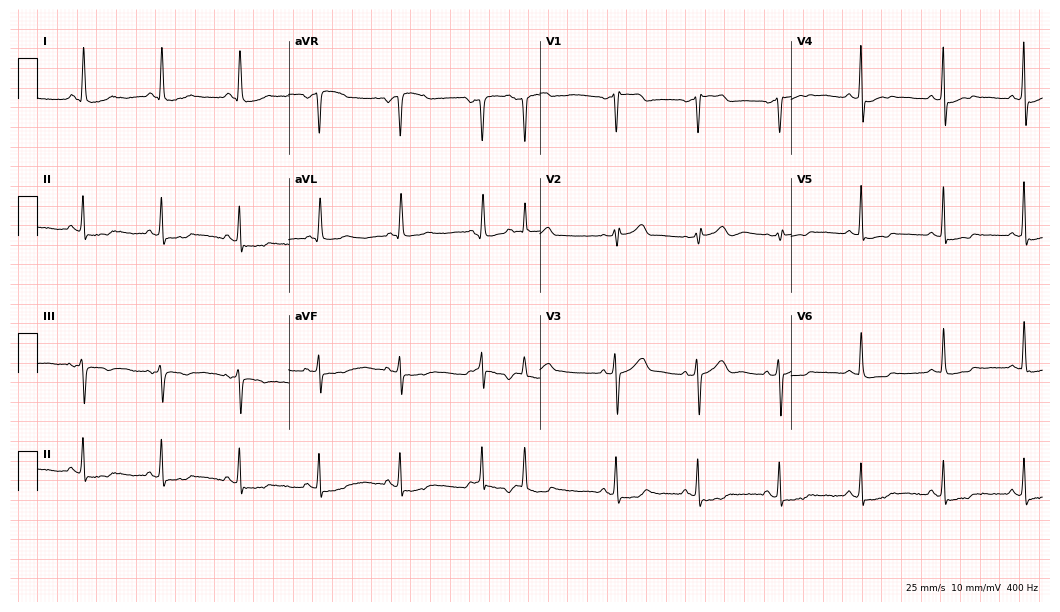
12-lead ECG from a female, 62 years old (10.2-second recording at 400 Hz). No first-degree AV block, right bundle branch block, left bundle branch block, sinus bradycardia, atrial fibrillation or sinus tachycardia recorded for this tracing. Only these six findings were labelled.